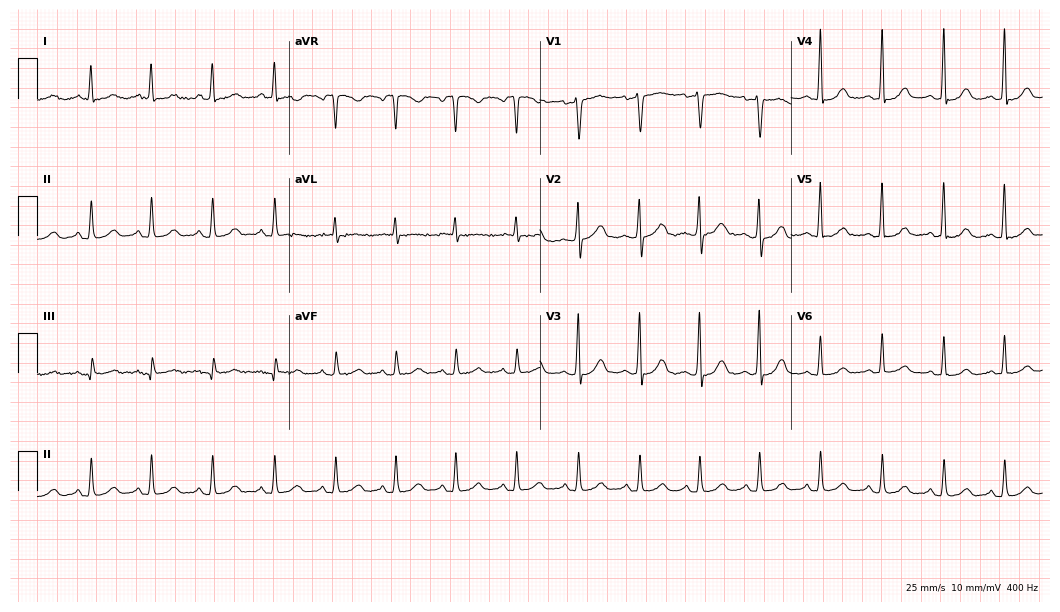
ECG (10.2-second recording at 400 Hz) — a woman, 35 years old. Labelled as a normal ECG.